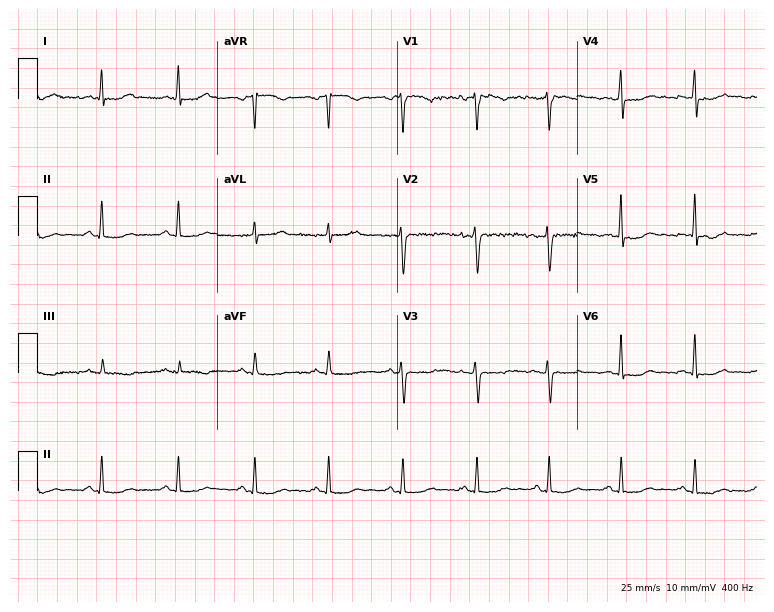
12-lead ECG (7.3-second recording at 400 Hz) from a 43-year-old female. Screened for six findings — first-degree AV block, right bundle branch block, left bundle branch block, sinus bradycardia, atrial fibrillation, sinus tachycardia — none is recorded. Findings outside these six are not listed.